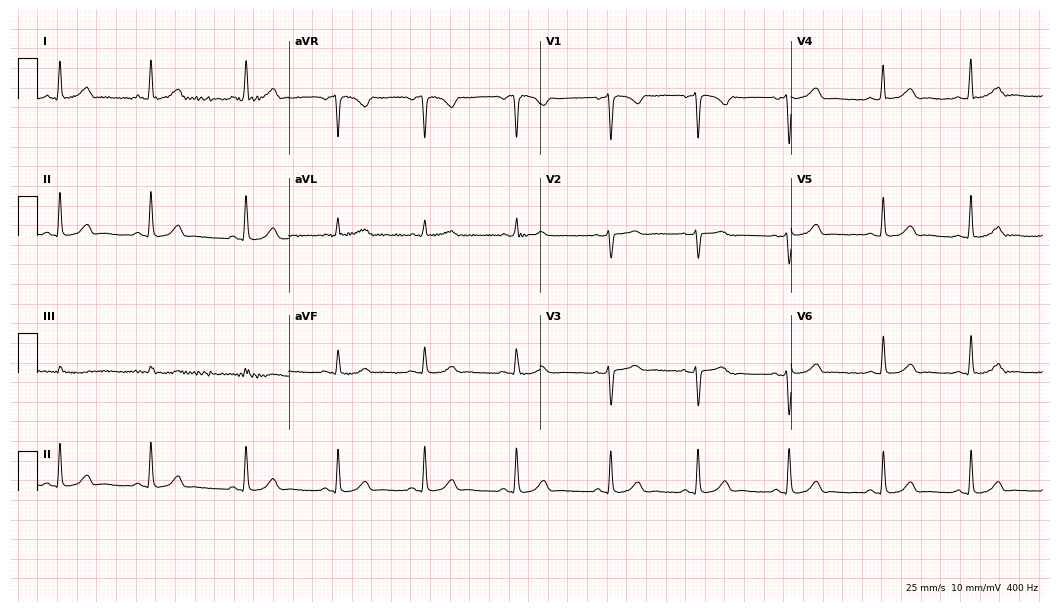
12-lead ECG (10.2-second recording at 400 Hz) from a 37-year-old woman. Labelled as a normal ECG.